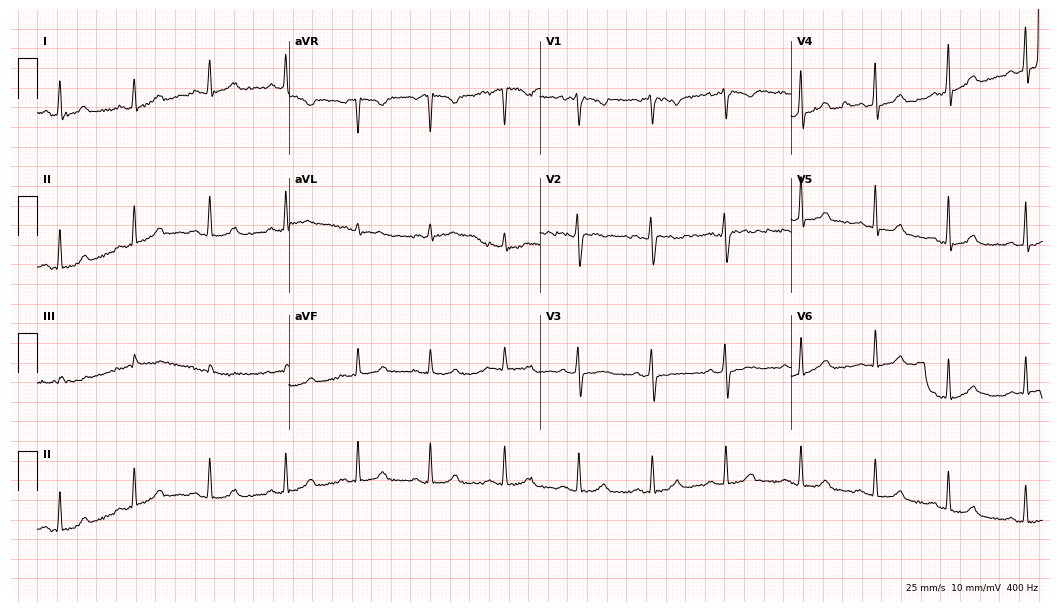
ECG (10.2-second recording at 400 Hz) — a woman, 29 years old. Labelled as a normal ECG.